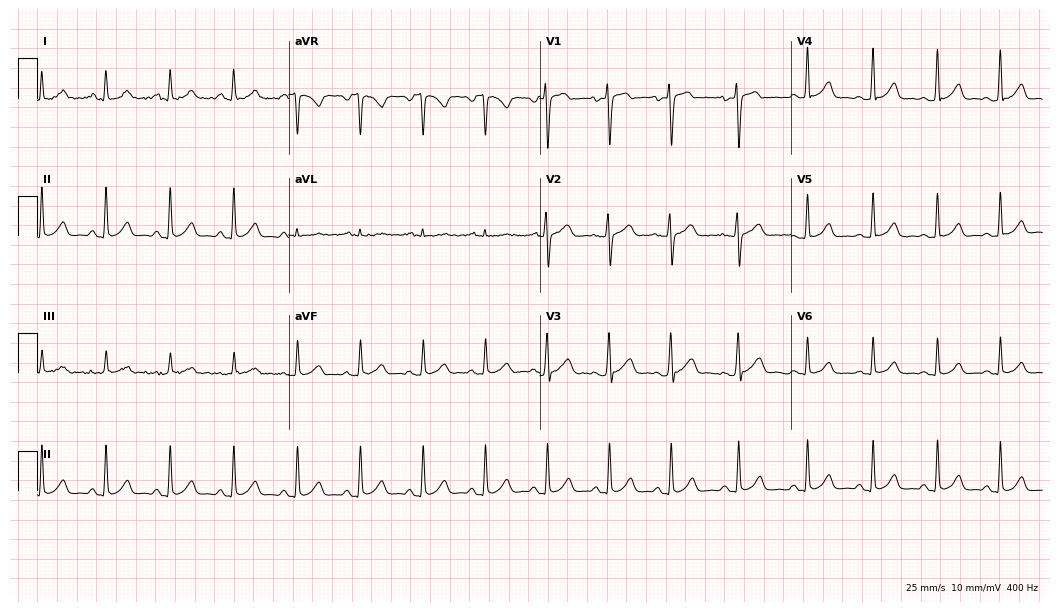
12-lead ECG from a 22-year-old female. Labelled as a normal ECG.